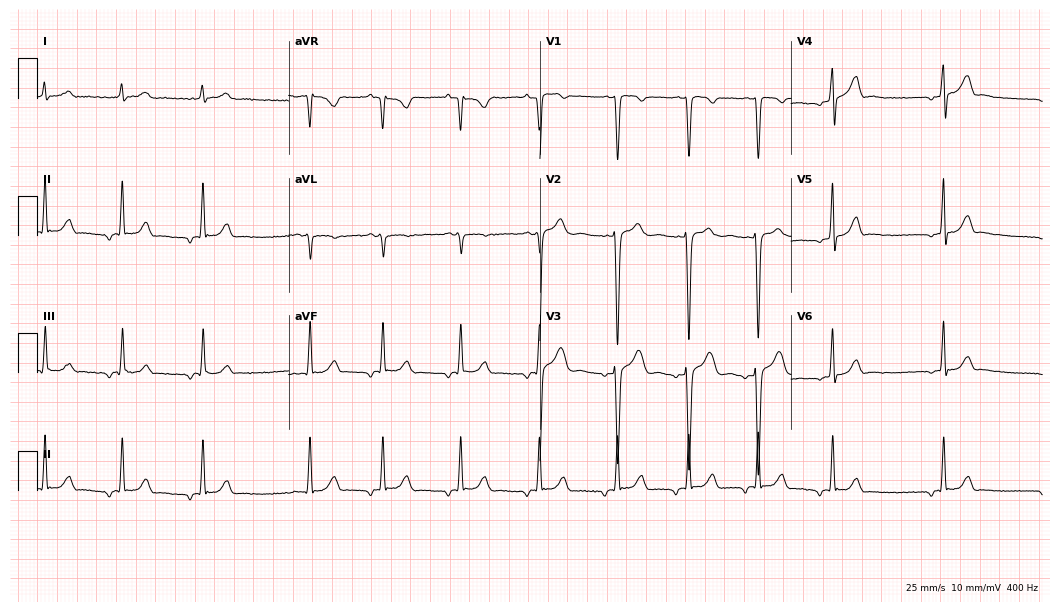
ECG (10.2-second recording at 400 Hz) — an 18-year-old man. Screened for six findings — first-degree AV block, right bundle branch block, left bundle branch block, sinus bradycardia, atrial fibrillation, sinus tachycardia — none is recorded. Only these six findings were labelled.